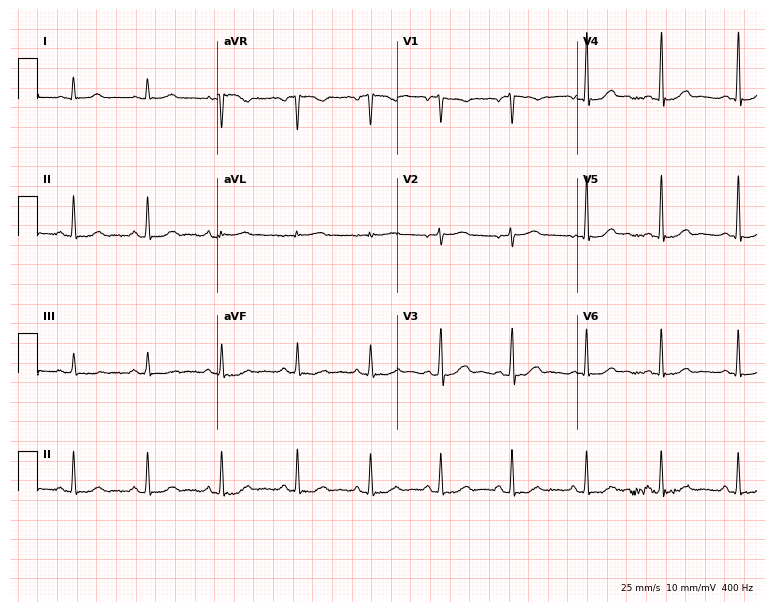
Resting 12-lead electrocardiogram. Patient: a female, 37 years old. None of these six findings is recorded: first-degree AV block, right bundle branch block (RBBB), left bundle branch block (LBBB), sinus bradycardia, atrial fibrillation (AF), sinus tachycardia. Only these six findings were labelled.